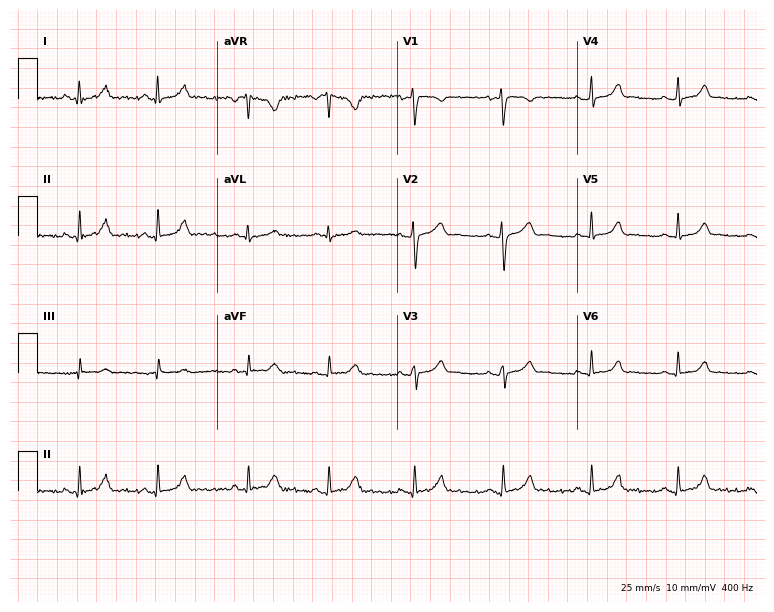
12-lead ECG from a female, 34 years old (7.3-second recording at 400 Hz). Recorded interpretation: within normal limits.